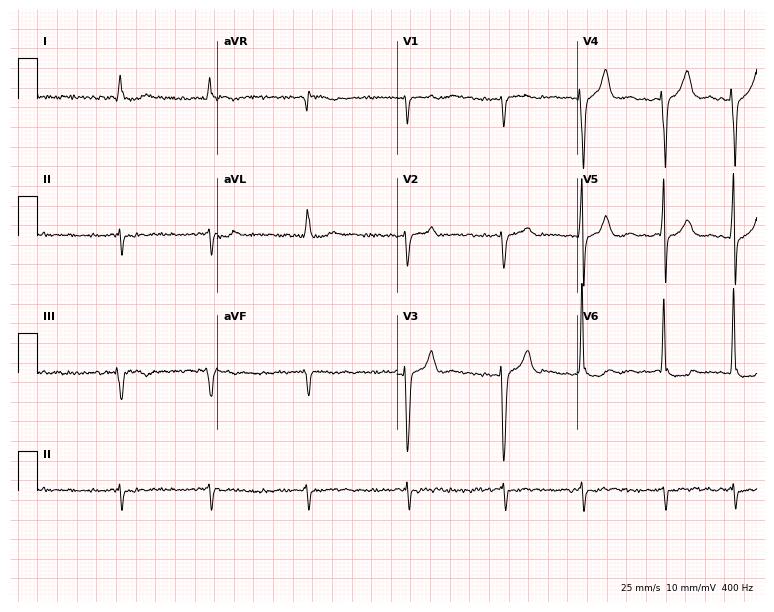
Resting 12-lead electrocardiogram (7.3-second recording at 400 Hz). Patient: a 58-year-old male. The tracing shows atrial fibrillation.